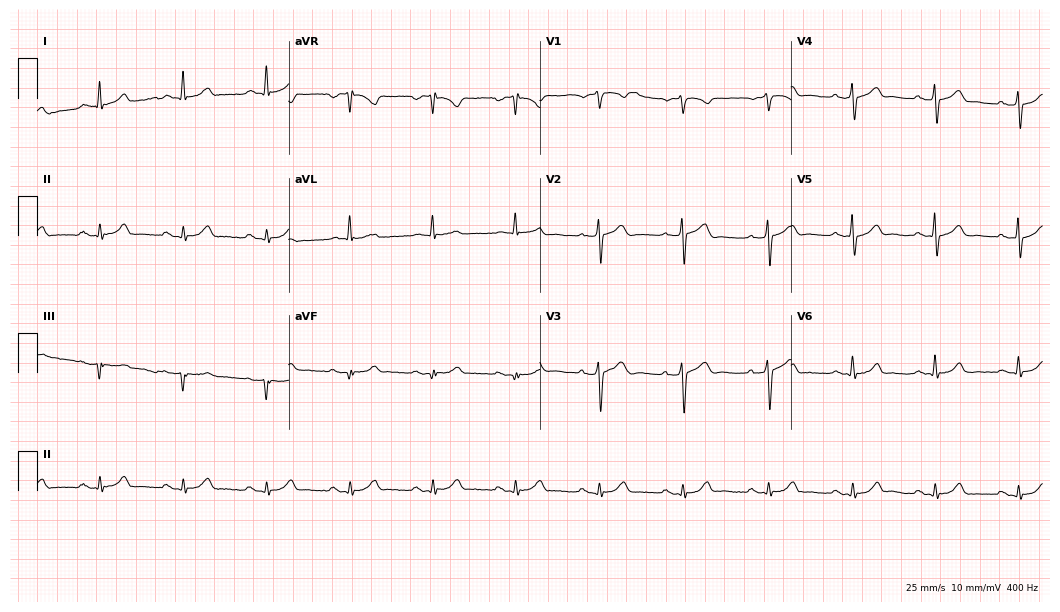
12-lead ECG from a 65-year-old male patient. Labelled as a normal ECG.